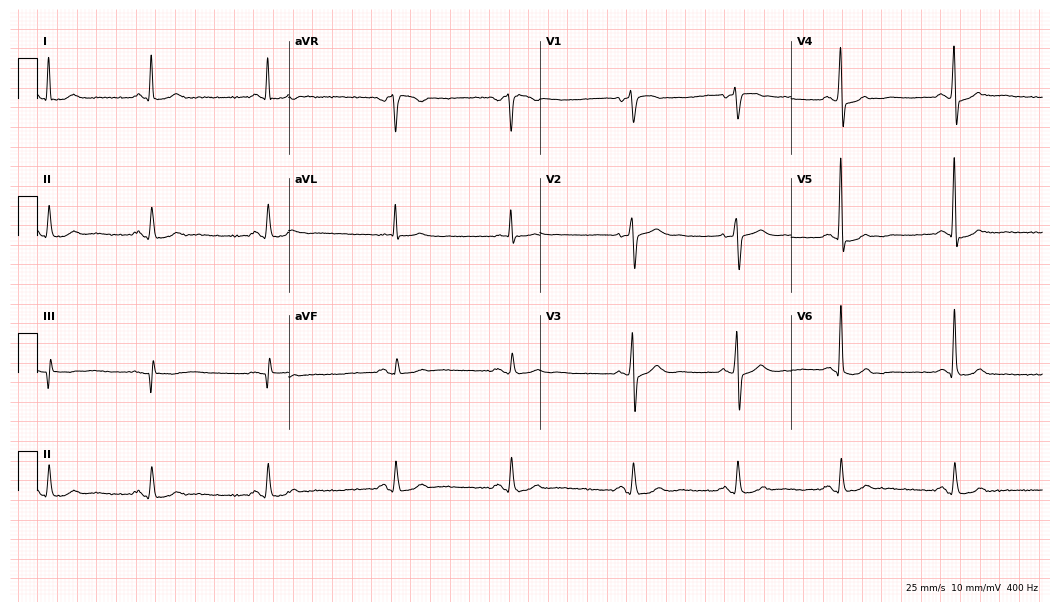
12-lead ECG from a man, 78 years old. No first-degree AV block, right bundle branch block, left bundle branch block, sinus bradycardia, atrial fibrillation or sinus tachycardia recorded for this tracing.